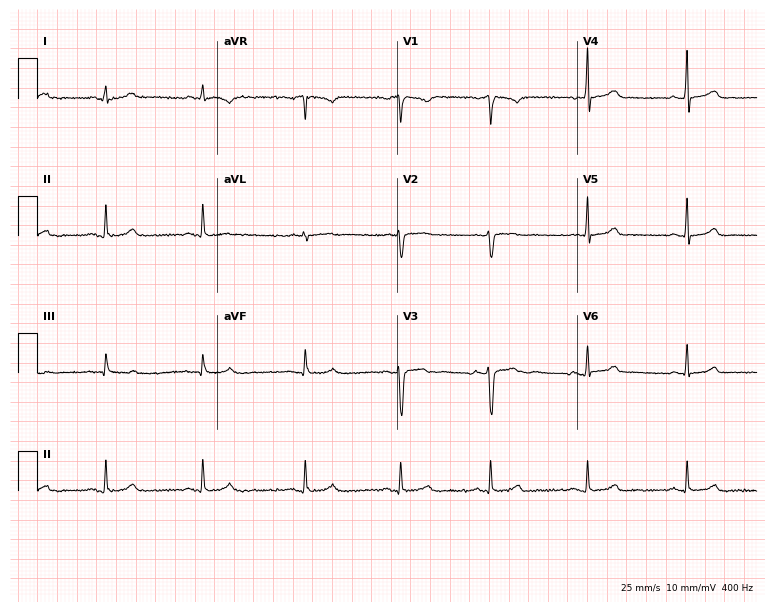
12-lead ECG from a female, 31 years old (7.3-second recording at 400 Hz). Recorded interpretation: within normal limits.